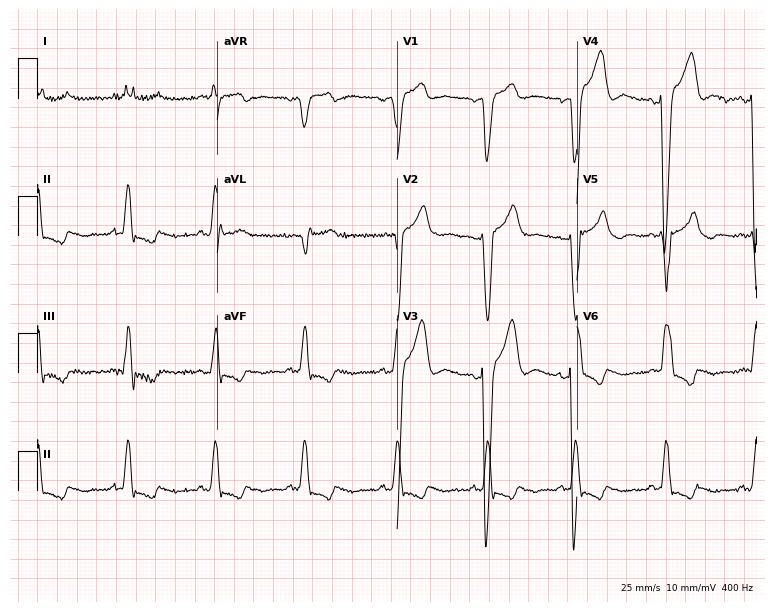
Standard 12-lead ECG recorded from a 79-year-old female (7.3-second recording at 400 Hz). None of these six findings is recorded: first-degree AV block, right bundle branch block (RBBB), left bundle branch block (LBBB), sinus bradycardia, atrial fibrillation (AF), sinus tachycardia.